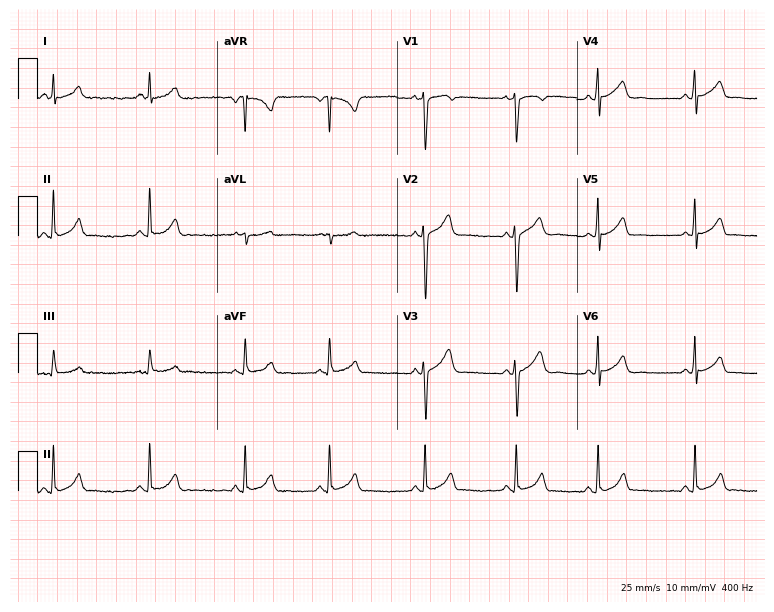
Resting 12-lead electrocardiogram. Patient: a woman, 20 years old. None of these six findings is recorded: first-degree AV block, right bundle branch block (RBBB), left bundle branch block (LBBB), sinus bradycardia, atrial fibrillation (AF), sinus tachycardia.